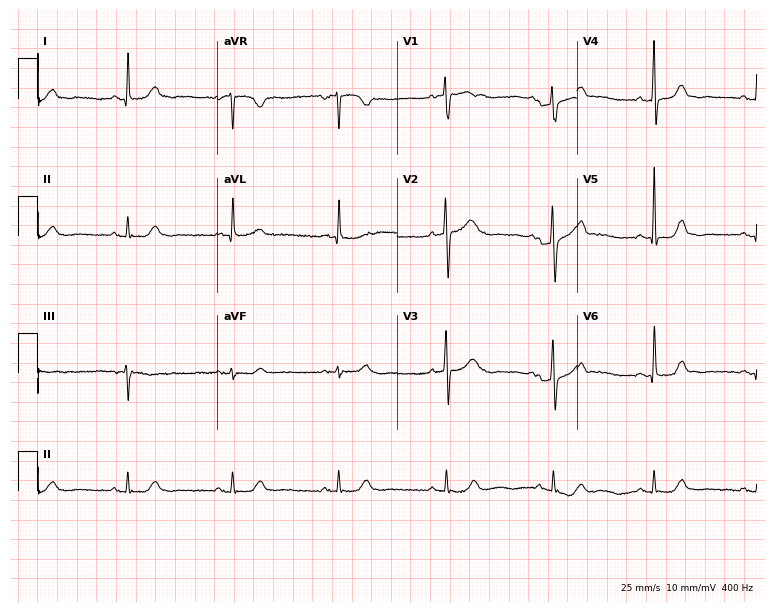
Resting 12-lead electrocardiogram (7.3-second recording at 400 Hz). Patient: a woman, 64 years old. None of these six findings is recorded: first-degree AV block, right bundle branch block, left bundle branch block, sinus bradycardia, atrial fibrillation, sinus tachycardia. Other findings, if any, are not listed.